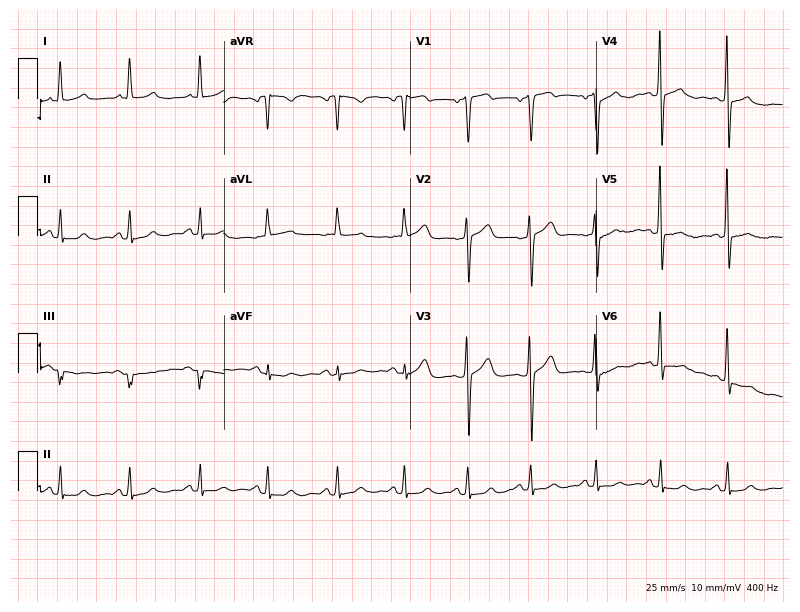
ECG — a 56-year-old man. Labelled as a normal ECG.